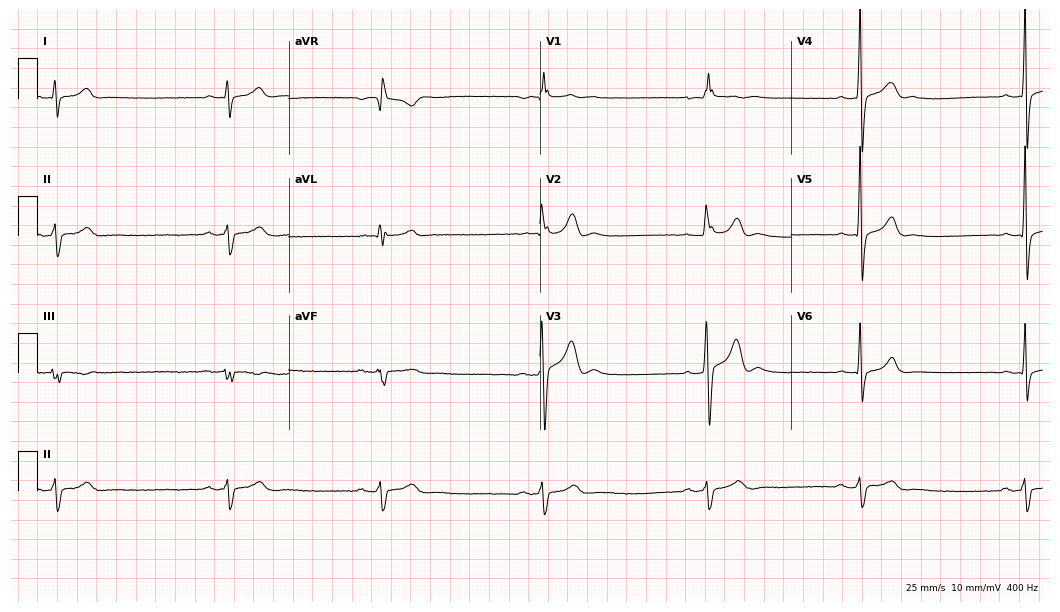
ECG — a male, 24 years old. Findings include sinus bradycardia (a sinus rate of 50 beats per minute or less).